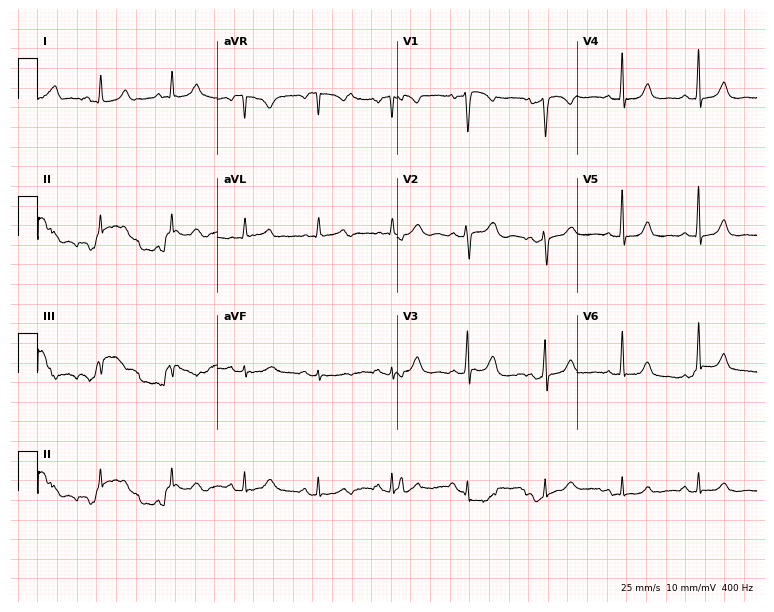
12-lead ECG from a woman, 46 years old. No first-degree AV block, right bundle branch block (RBBB), left bundle branch block (LBBB), sinus bradycardia, atrial fibrillation (AF) or sinus tachycardia recorded for this tracing.